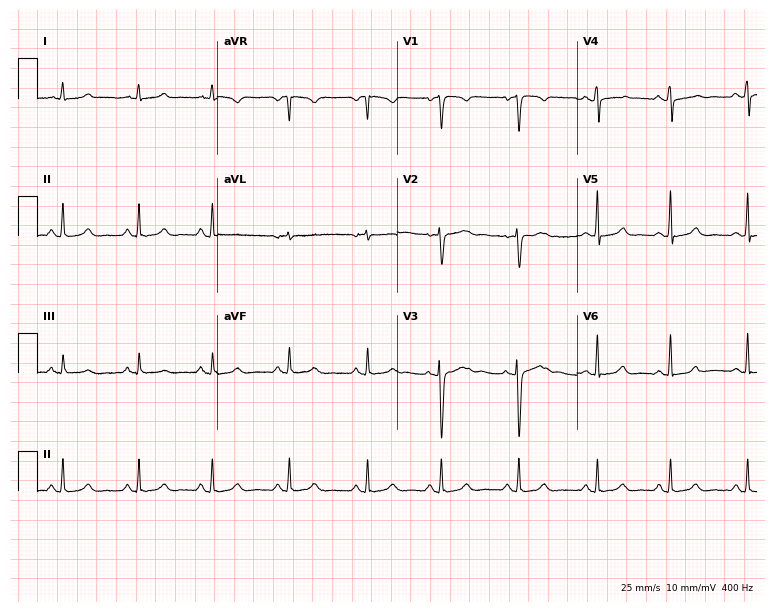
Resting 12-lead electrocardiogram. Patient: a 28-year-old woman. Read as a normal ECG.